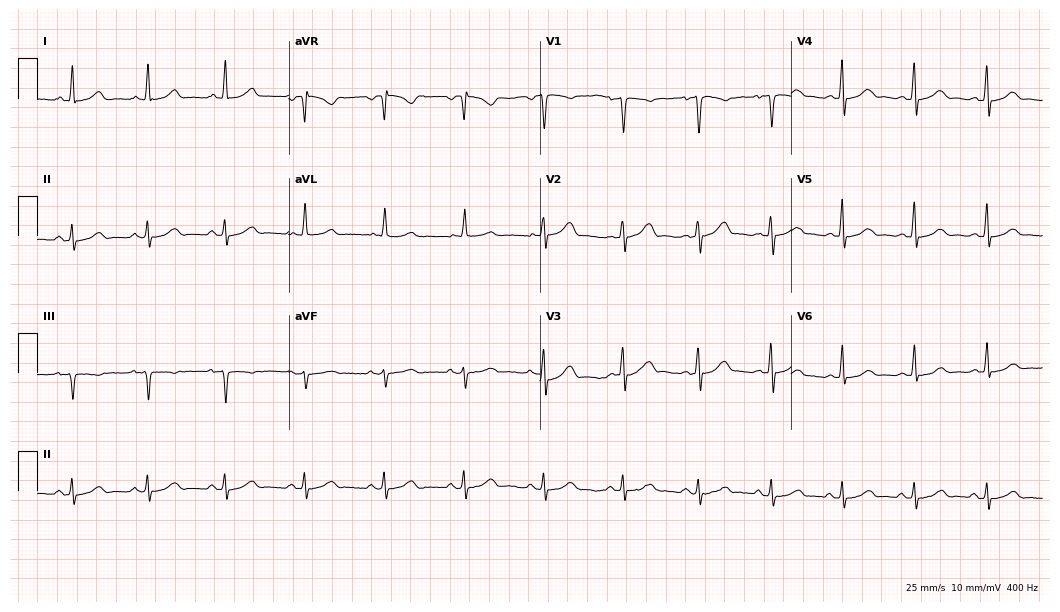
Resting 12-lead electrocardiogram (10.2-second recording at 400 Hz). Patient: a female, 32 years old. Read as a normal ECG.